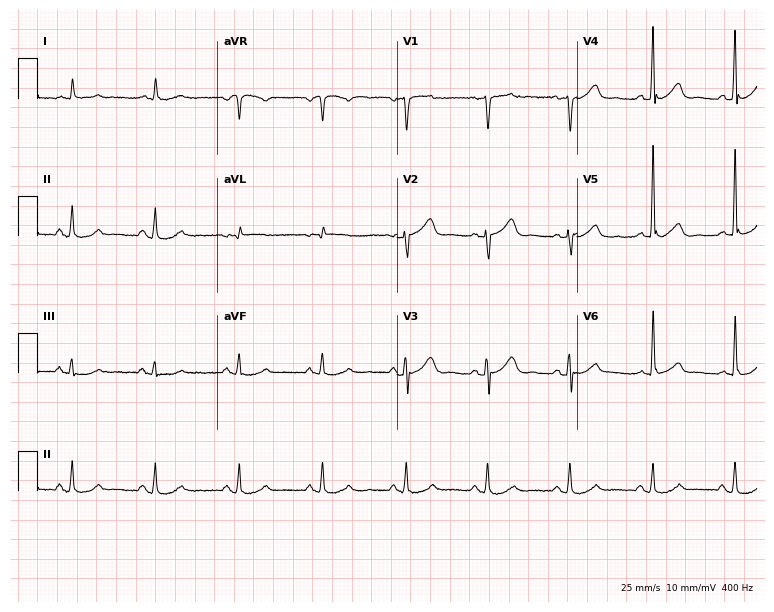
12-lead ECG from a 72-year-old male. Screened for six findings — first-degree AV block, right bundle branch block, left bundle branch block, sinus bradycardia, atrial fibrillation, sinus tachycardia — none is recorded. Only these six findings were labelled.